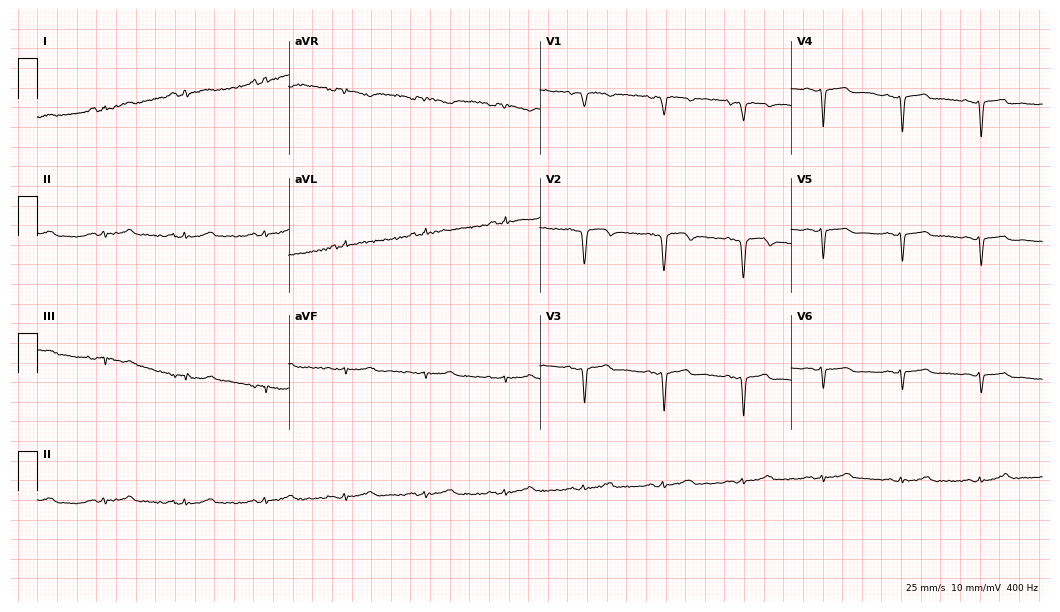
12-lead ECG from a man, 61 years old (10.2-second recording at 400 Hz). No first-degree AV block, right bundle branch block (RBBB), left bundle branch block (LBBB), sinus bradycardia, atrial fibrillation (AF) or sinus tachycardia recorded for this tracing.